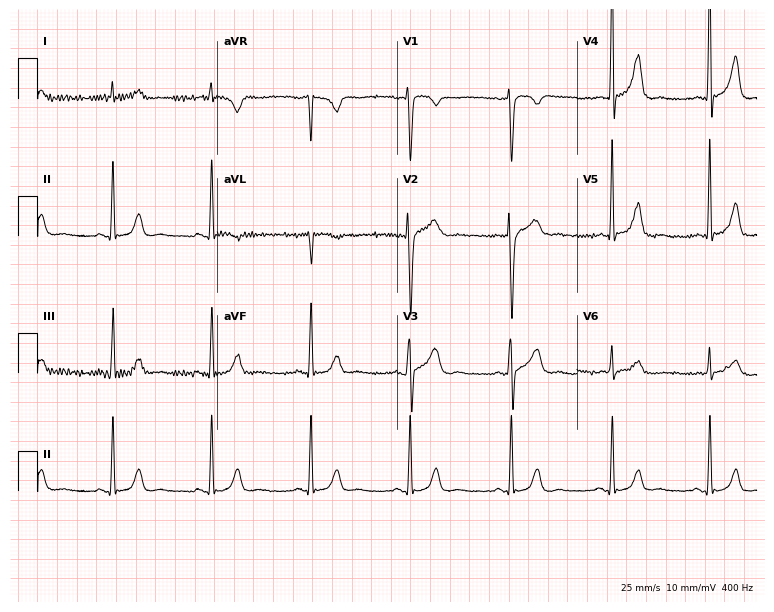
Resting 12-lead electrocardiogram. Patient: a male, 40 years old. None of these six findings is recorded: first-degree AV block, right bundle branch block, left bundle branch block, sinus bradycardia, atrial fibrillation, sinus tachycardia.